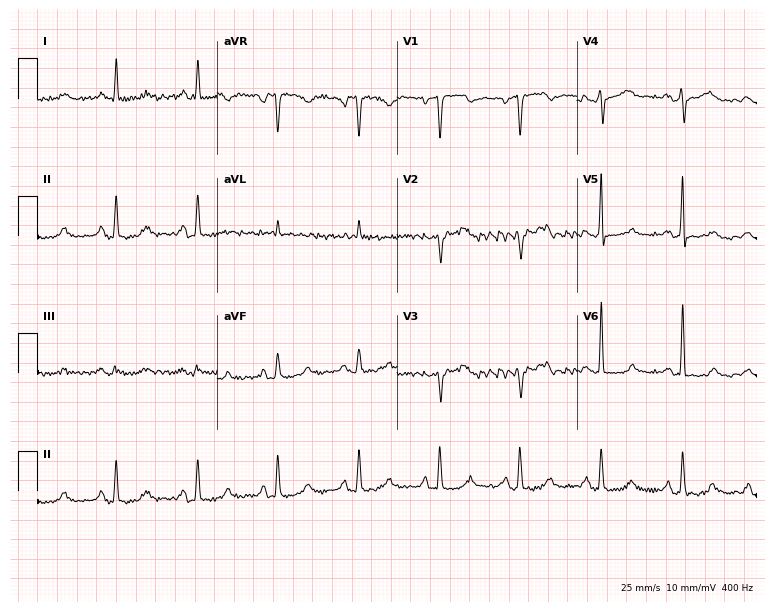
12-lead ECG from a 76-year-old woman. No first-degree AV block, right bundle branch block (RBBB), left bundle branch block (LBBB), sinus bradycardia, atrial fibrillation (AF) or sinus tachycardia recorded for this tracing. Only these six findings were labelled.